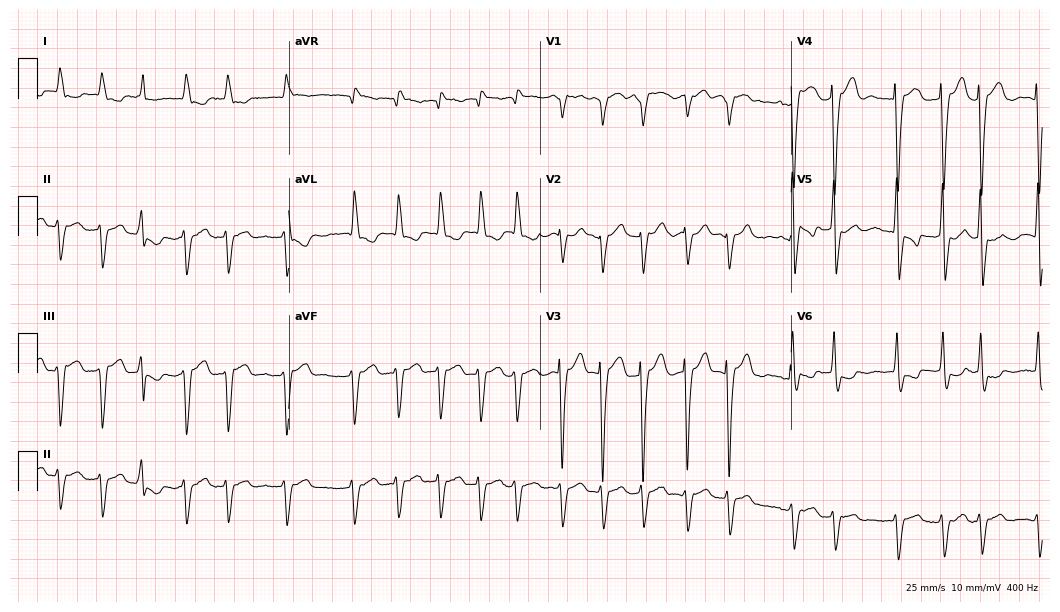
ECG — a female patient, 79 years old. Findings include atrial fibrillation (AF).